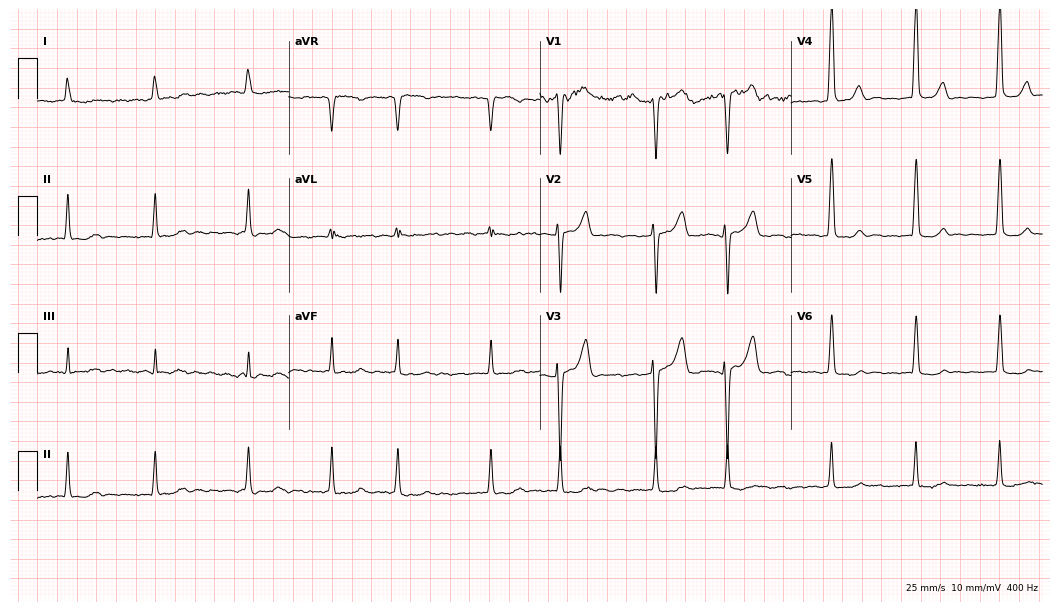
Resting 12-lead electrocardiogram (10.2-second recording at 400 Hz). Patient: a man, 75 years old. The tracing shows atrial fibrillation.